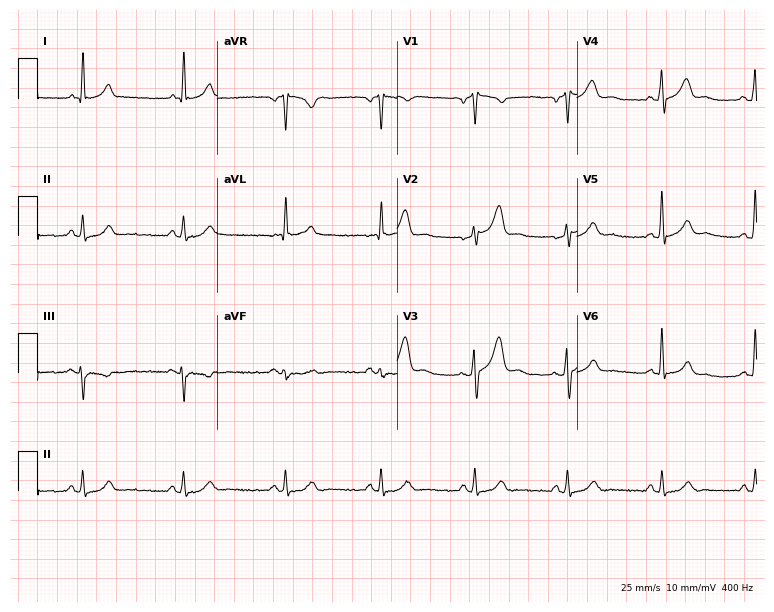
12-lead ECG from a 63-year-old male patient (7.3-second recording at 400 Hz). Recorded interpretation: within normal limits.